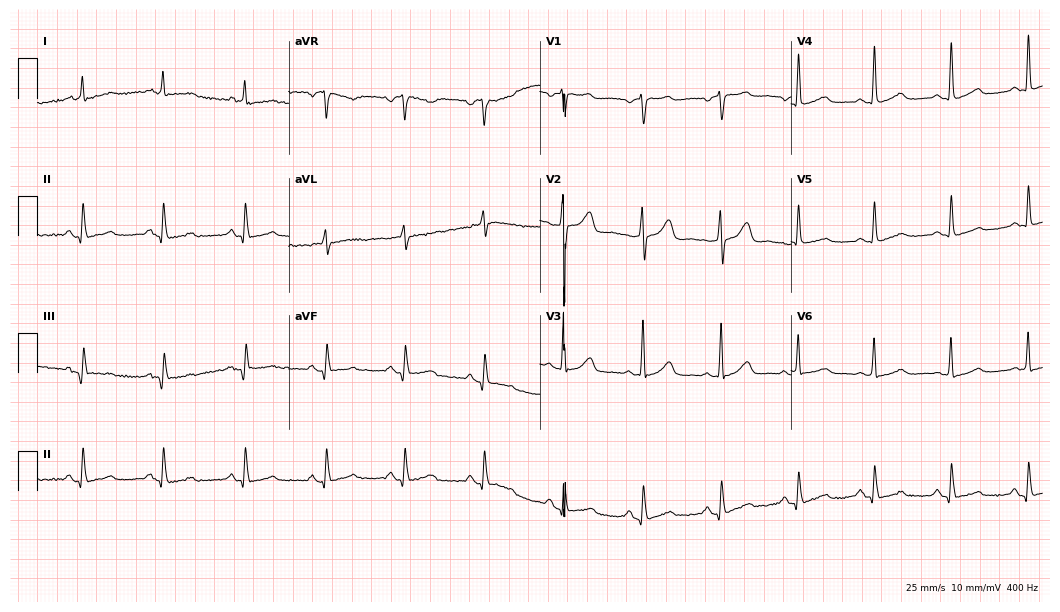
ECG — a 66-year-old woman. Screened for six findings — first-degree AV block, right bundle branch block (RBBB), left bundle branch block (LBBB), sinus bradycardia, atrial fibrillation (AF), sinus tachycardia — none is recorded.